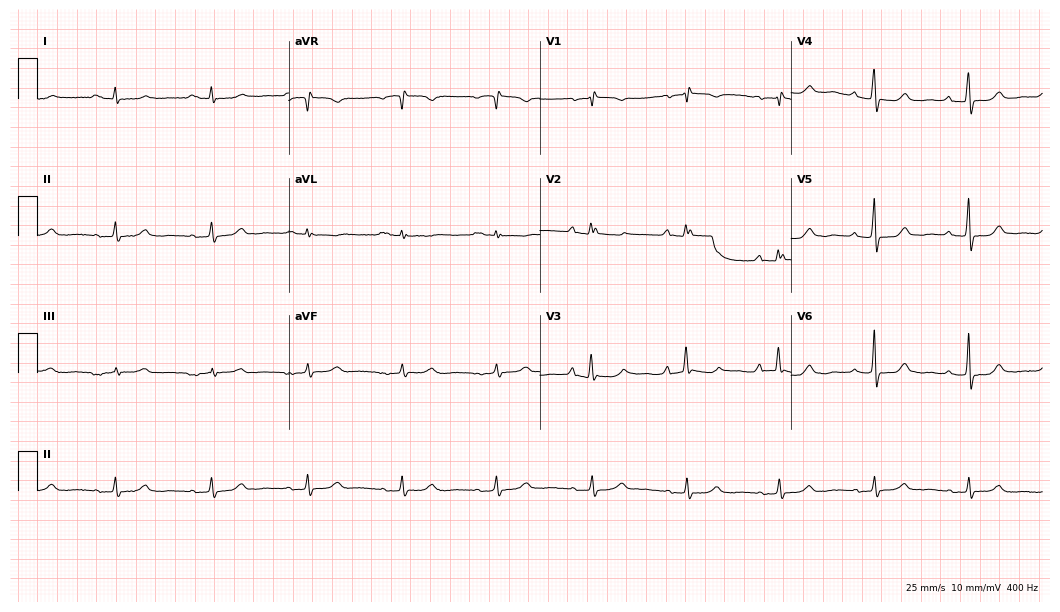
Resting 12-lead electrocardiogram. Patient: a female, 46 years old. None of these six findings is recorded: first-degree AV block, right bundle branch block, left bundle branch block, sinus bradycardia, atrial fibrillation, sinus tachycardia. Only these six findings were labelled.